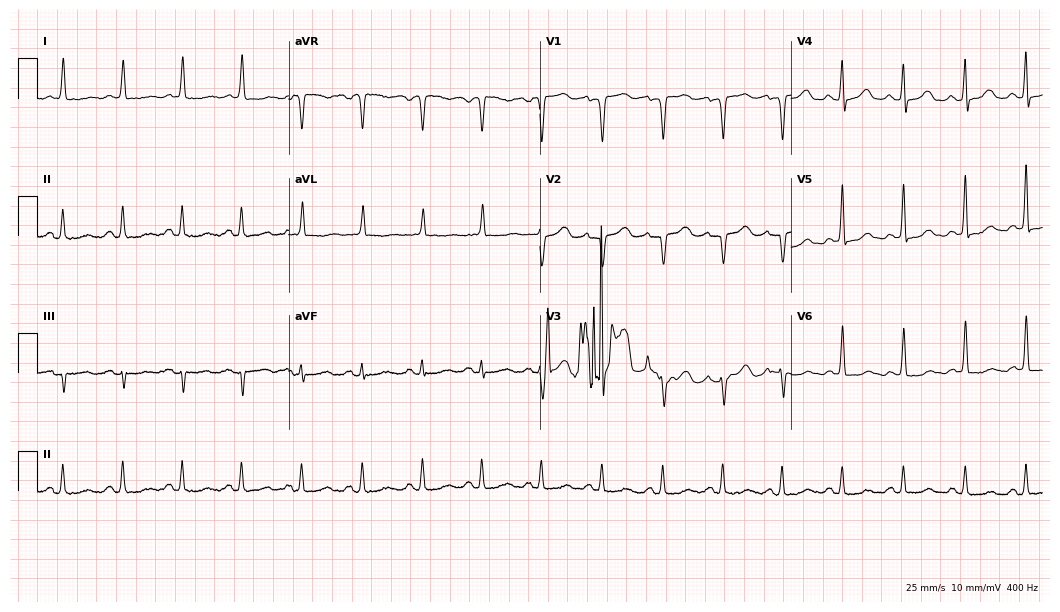
Electrocardiogram, a female patient, 82 years old. Overall reading on record: normal ECG.